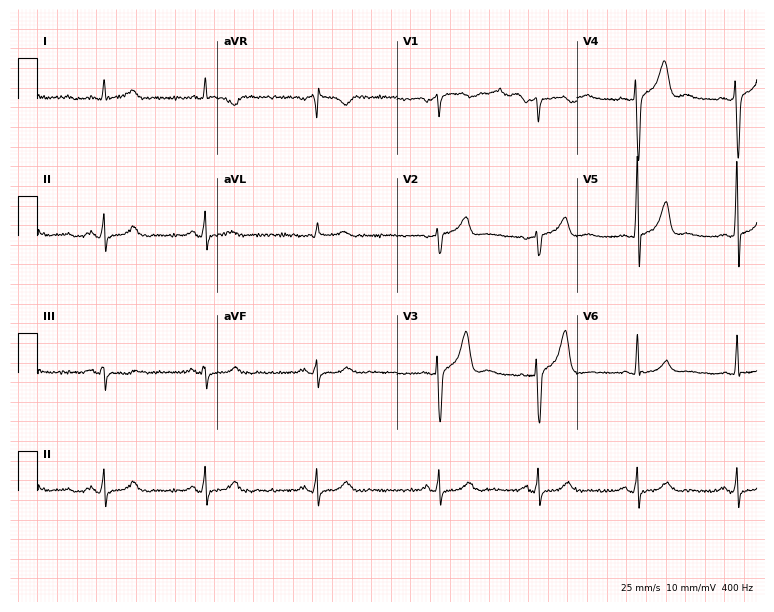
Electrocardiogram (7.3-second recording at 400 Hz), a man, 76 years old. Of the six screened findings (first-degree AV block, right bundle branch block (RBBB), left bundle branch block (LBBB), sinus bradycardia, atrial fibrillation (AF), sinus tachycardia), none is recorded. Only these six findings were labelled.